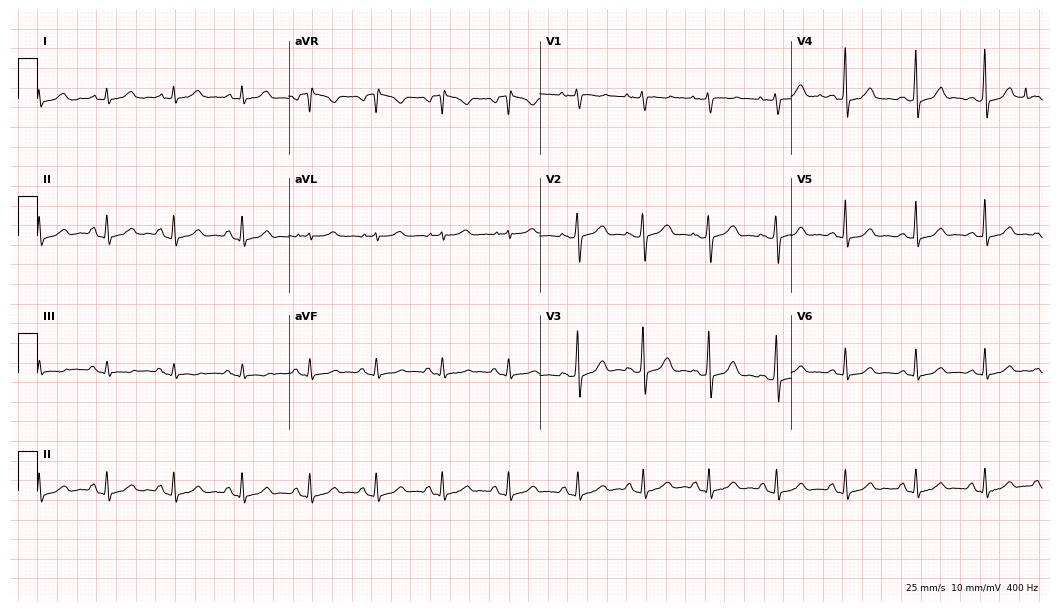
Resting 12-lead electrocardiogram. Patient: a female, 53 years old. None of these six findings is recorded: first-degree AV block, right bundle branch block (RBBB), left bundle branch block (LBBB), sinus bradycardia, atrial fibrillation (AF), sinus tachycardia. Findings outside these six are not listed.